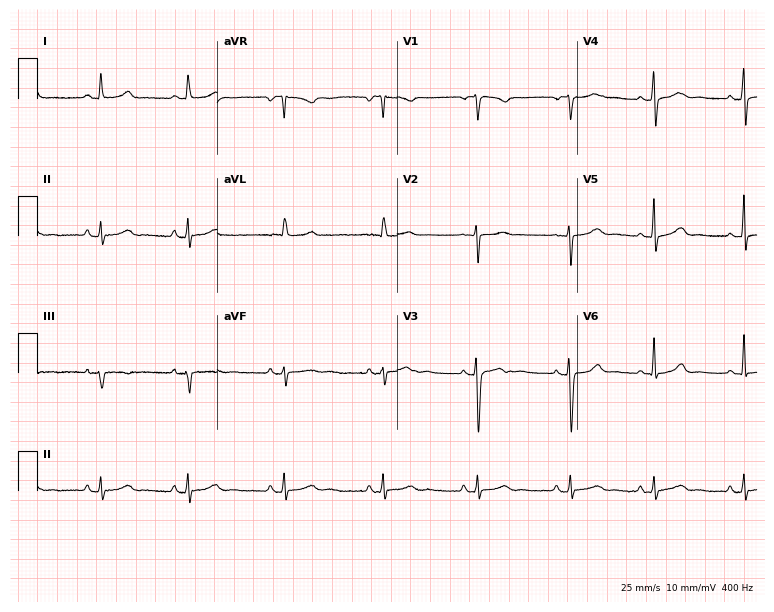
Standard 12-lead ECG recorded from a female patient, 27 years old (7.3-second recording at 400 Hz). Read as a normal ECG.